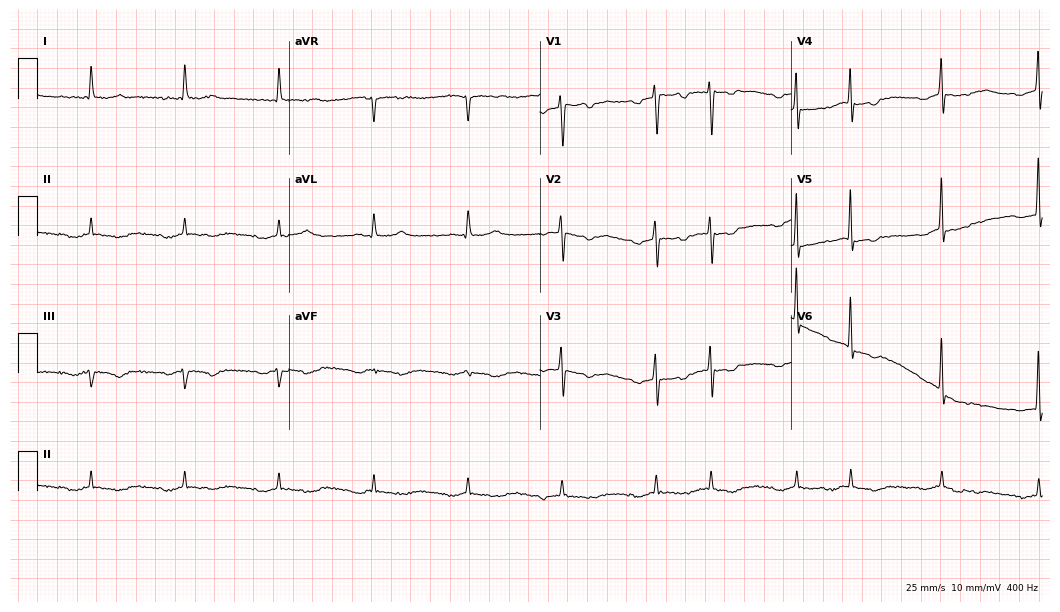
12-lead ECG (10.2-second recording at 400 Hz) from a 76-year-old male. Screened for six findings — first-degree AV block, right bundle branch block, left bundle branch block, sinus bradycardia, atrial fibrillation, sinus tachycardia — none is recorded.